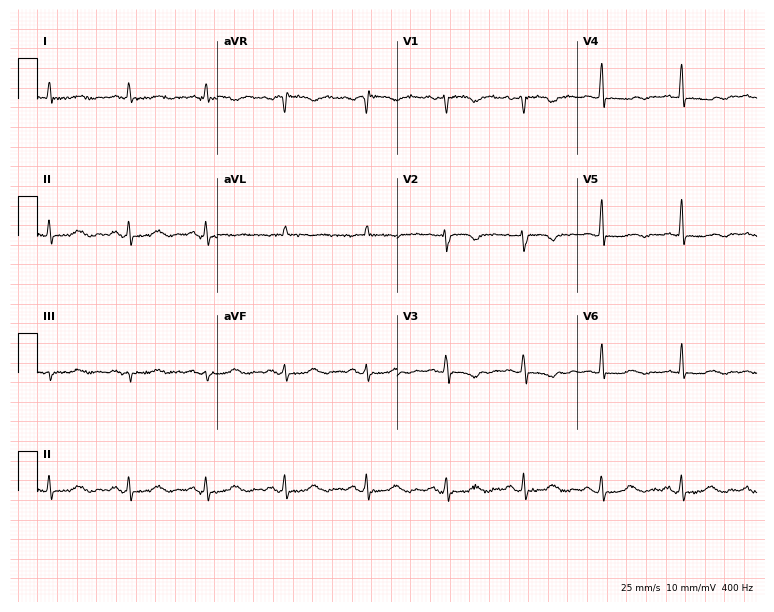
12-lead ECG from a female, 61 years old (7.3-second recording at 400 Hz). No first-degree AV block, right bundle branch block, left bundle branch block, sinus bradycardia, atrial fibrillation or sinus tachycardia recorded for this tracing.